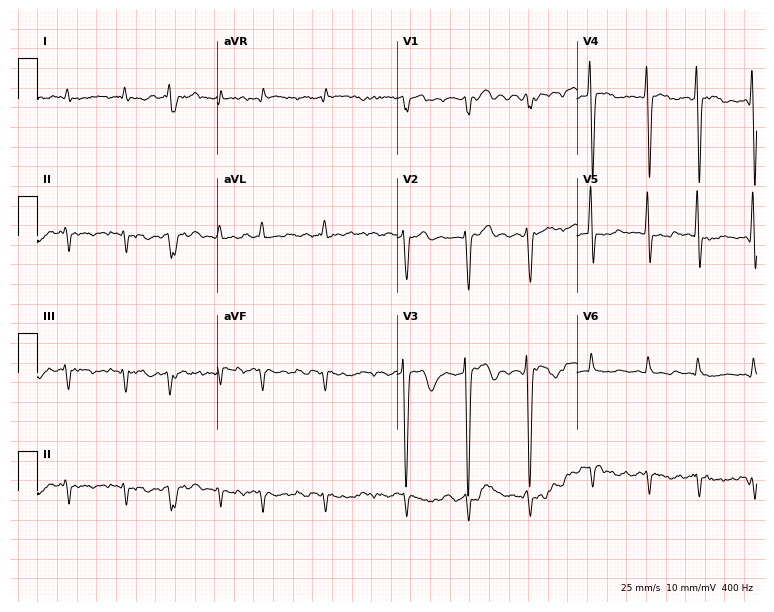
Standard 12-lead ECG recorded from a male patient, 74 years old (7.3-second recording at 400 Hz). The tracing shows atrial fibrillation.